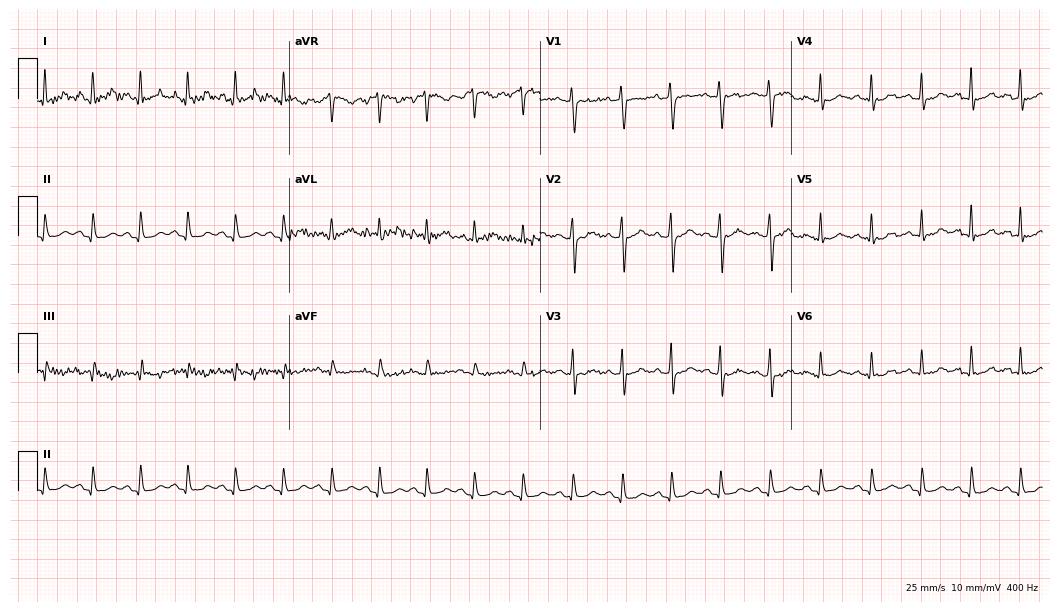
Electrocardiogram (10.2-second recording at 400 Hz), a 28-year-old female. Of the six screened findings (first-degree AV block, right bundle branch block, left bundle branch block, sinus bradycardia, atrial fibrillation, sinus tachycardia), none is recorded.